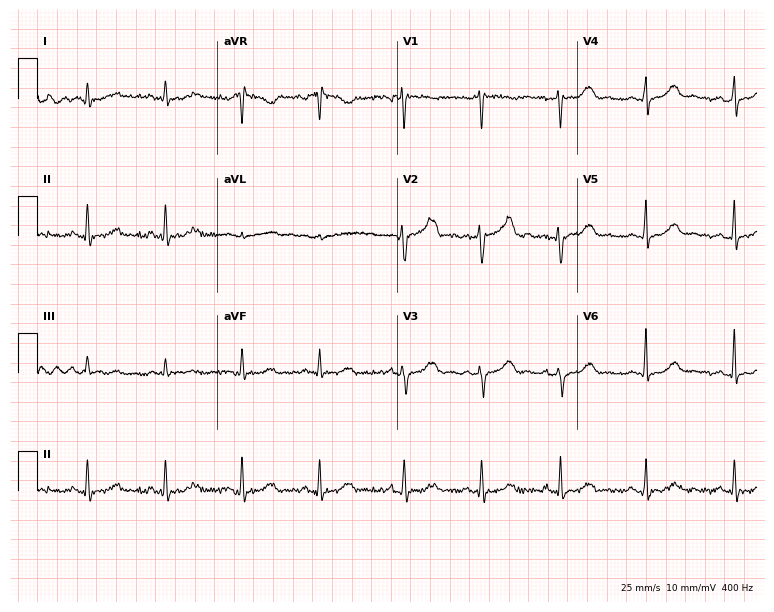
ECG (7.3-second recording at 400 Hz) — a 33-year-old female. Screened for six findings — first-degree AV block, right bundle branch block (RBBB), left bundle branch block (LBBB), sinus bradycardia, atrial fibrillation (AF), sinus tachycardia — none is recorded. Other findings, if any, are not listed.